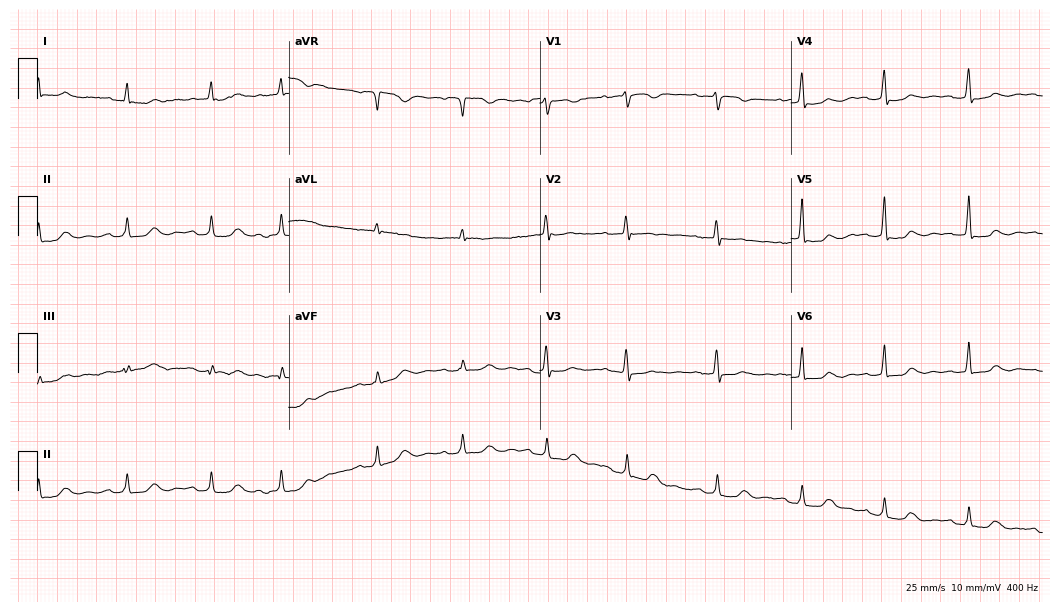
12-lead ECG from a 76-year-old female patient. Shows first-degree AV block.